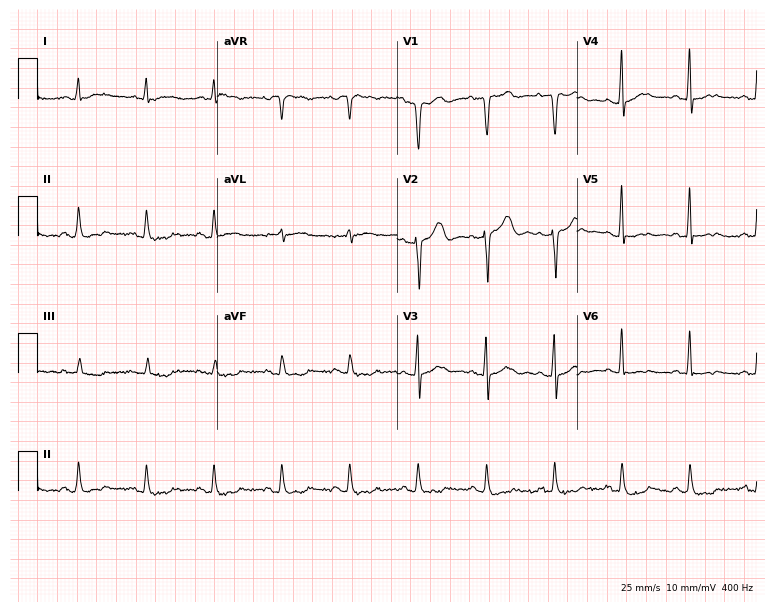
Standard 12-lead ECG recorded from a 73-year-old man (7.3-second recording at 400 Hz). None of these six findings is recorded: first-degree AV block, right bundle branch block, left bundle branch block, sinus bradycardia, atrial fibrillation, sinus tachycardia. Other findings, if any, are not listed.